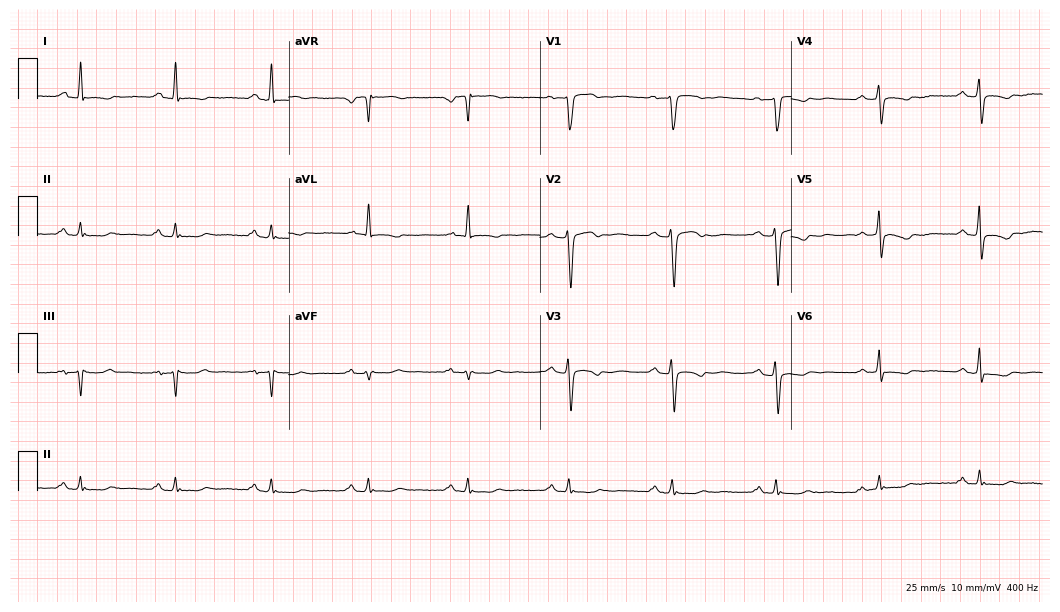
12-lead ECG from a female, 60 years old (10.2-second recording at 400 Hz). No first-degree AV block, right bundle branch block, left bundle branch block, sinus bradycardia, atrial fibrillation or sinus tachycardia recorded for this tracing.